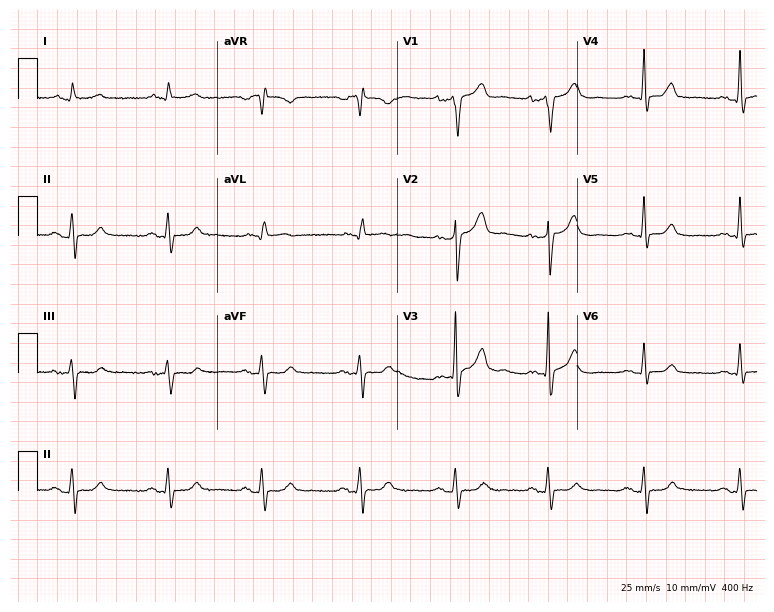
Electrocardiogram (7.3-second recording at 400 Hz), a 69-year-old man. Of the six screened findings (first-degree AV block, right bundle branch block, left bundle branch block, sinus bradycardia, atrial fibrillation, sinus tachycardia), none is recorded.